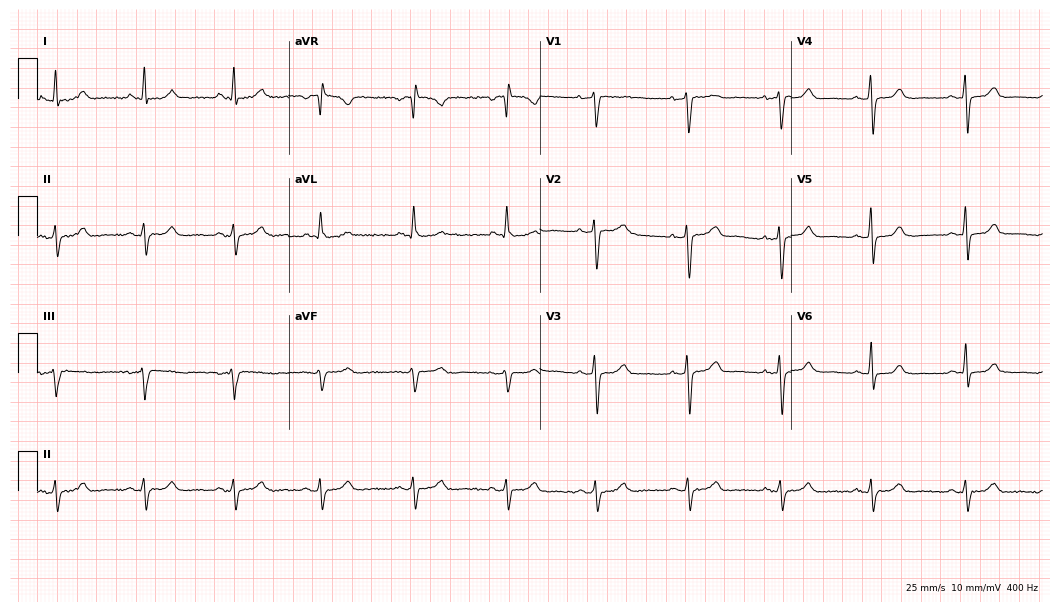
Standard 12-lead ECG recorded from a female, 62 years old. None of these six findings is recorded: first-degree AV block, right bundle branch block, left bundle branch block, sinus bradycardia, atrial fibrillation, sinus tachycardia.